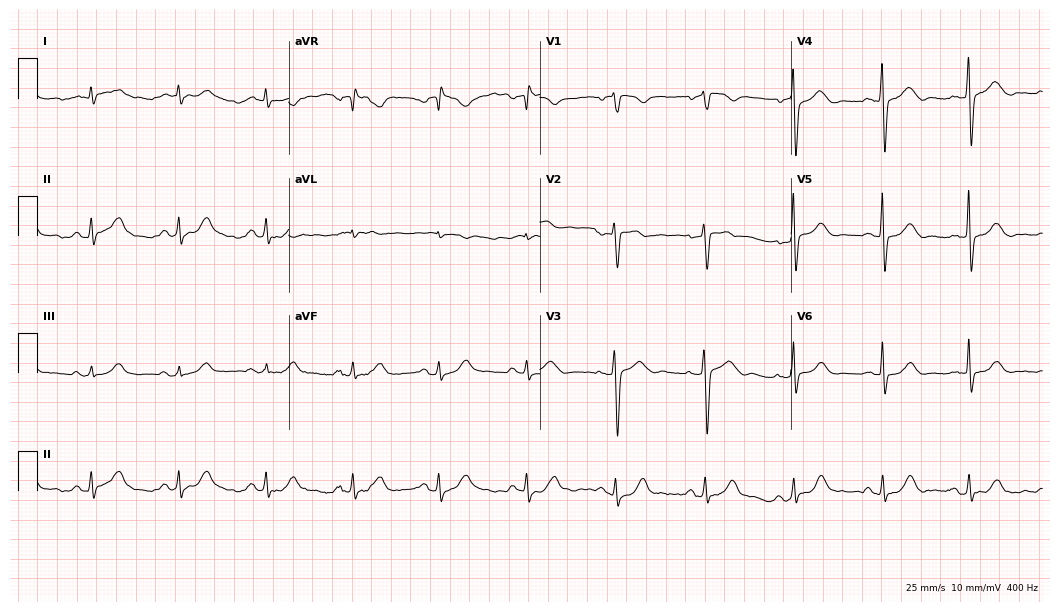
12-lead ECG from a 64-year-old man. No first-degree AV block, right bundle branch block, left bundle branch block, sinus bradycardia, atrial fibrillation or sinus tachycardia recorded for this tracing. Other findings, if any, are not listed.